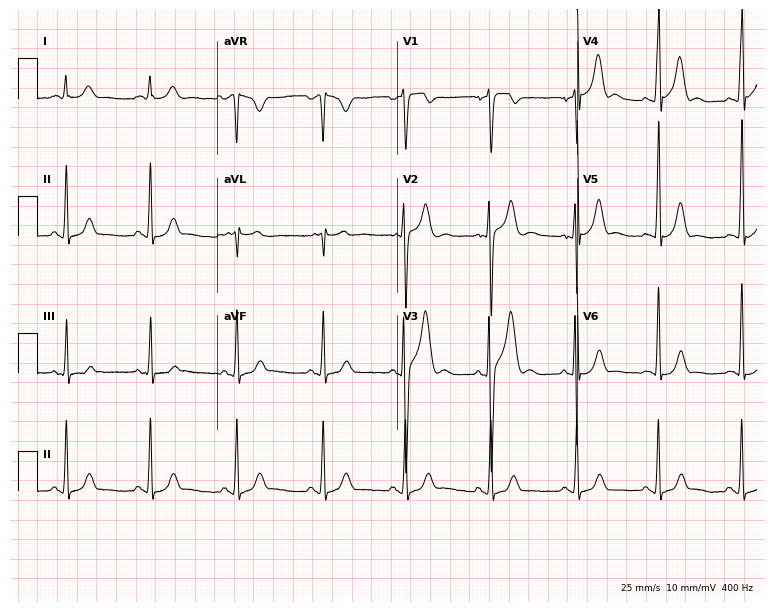
12-lead ECG from a man, 22 years old (7.3-second recording at 400 Hz). Recorded interpretation: within normal limits.